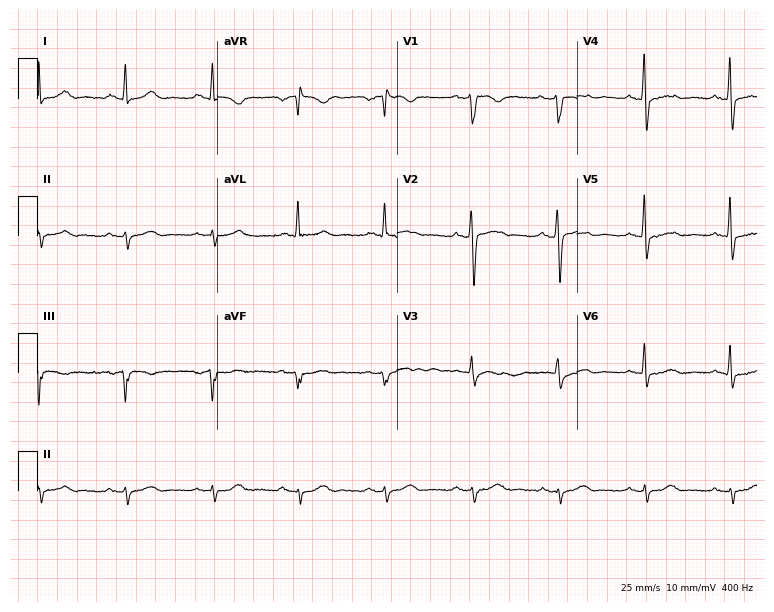
Resting 12-lead electrocardiogram (7.3-second recording at 400 Hz). Patient: a man, 60 years old. None of these six findings is recorded: first-degree AV block, right bundle branch block, left bundle branch block, sinus bradycardia, atrial fibrillation, sinus tachycardia.